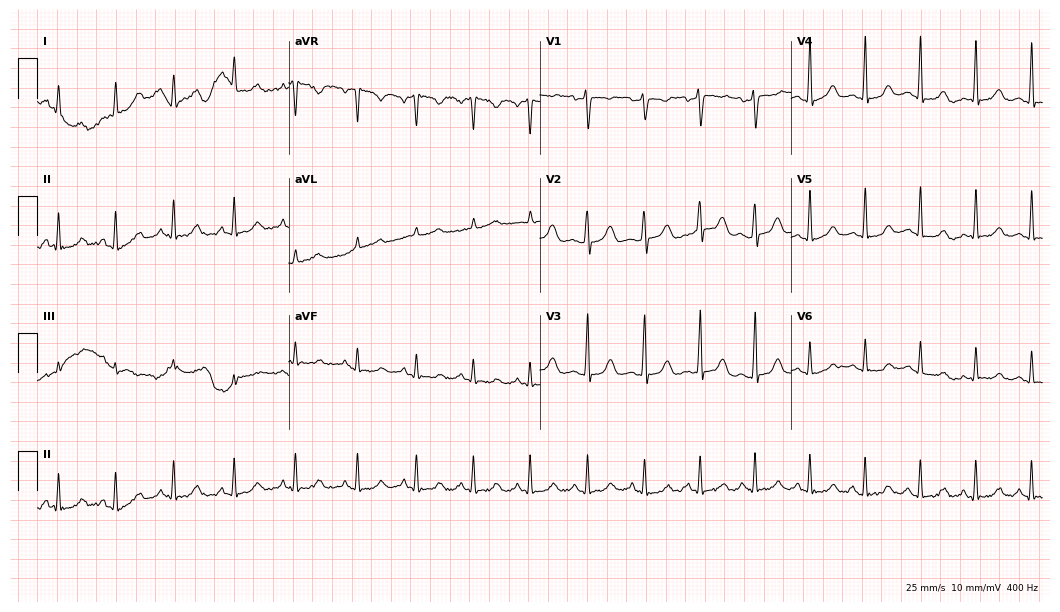
12-lead ECG from a 39-year-old female patient. Findings include sinus tachycardia (a sinus rate of 100 beats per minute or more).